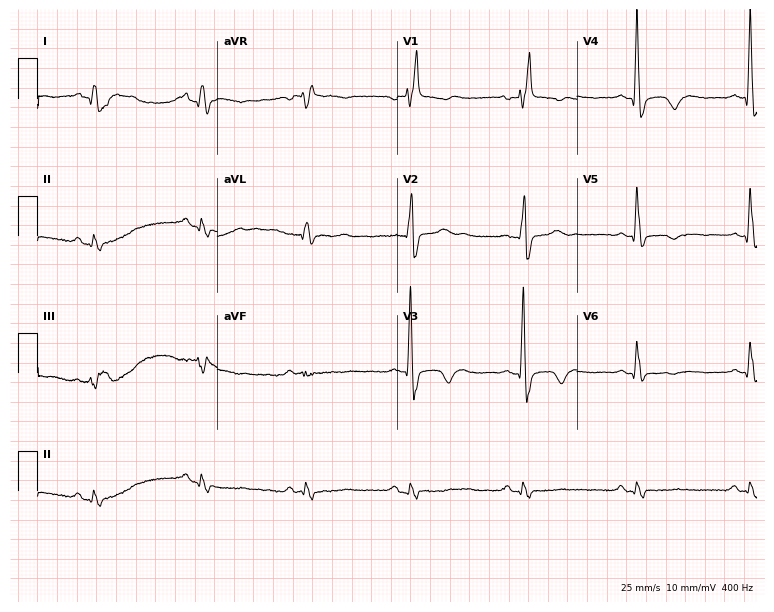
12-lead ECG from a 72-year-old male. Findings include right bundle branch block.